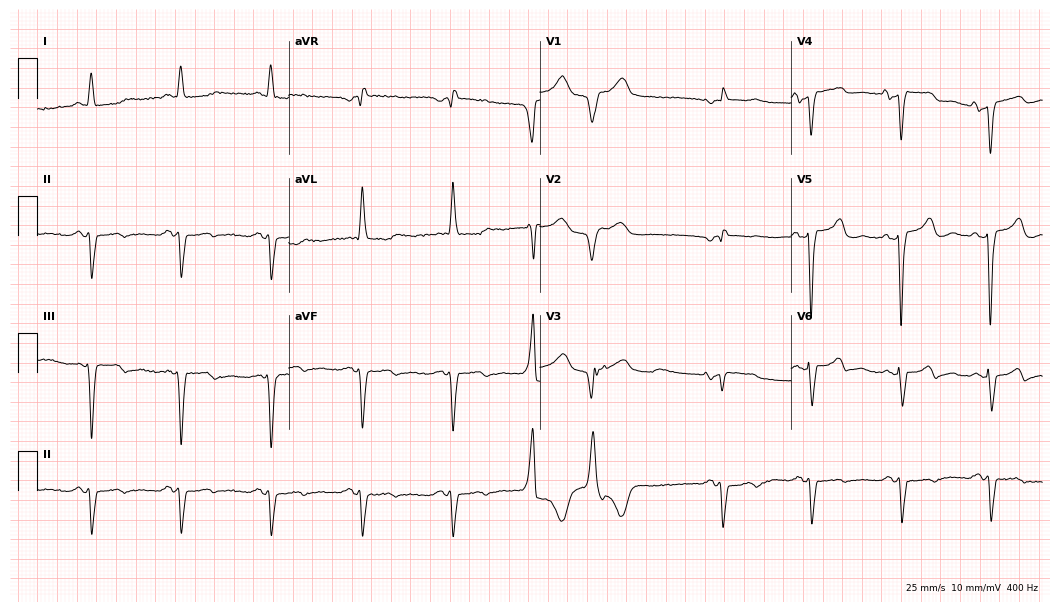
12-lead ECG from an 83-year-old female patient (10.2-second recording at 400 Hz). No first-degree AV block, right bundle branch block, left bundle branch block, sinus bradycardia, atrial fibrillation or sinus tachycardia recorded for this tracing. Other findings, if any, are not listed.